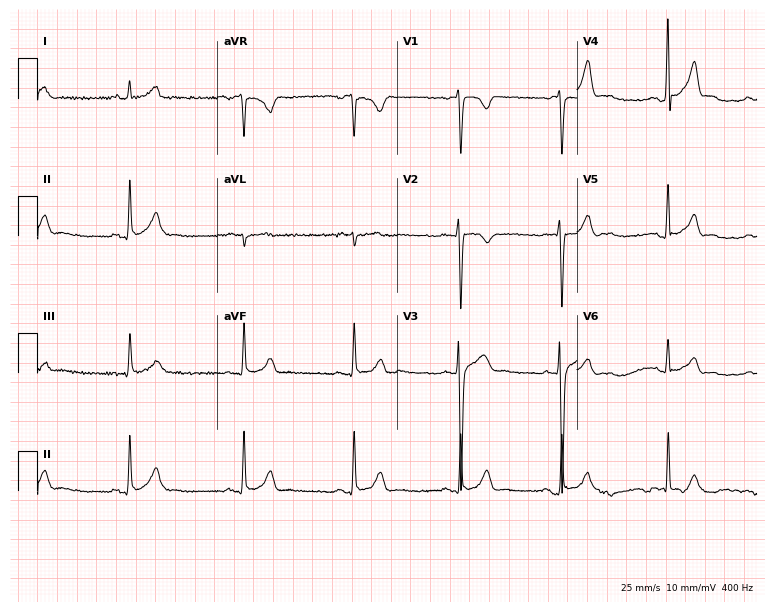
Electrocardiogram (7.3-second recording at 400 Hz), a male patient, 27 years old. Of the six screened findings (first-degree AV block, right bundle branch block (RBBB), left bundle branch block (LBBB), sinus bradycardia, atrial fibrillation (AF), sinus tachycardia), none is recorded.